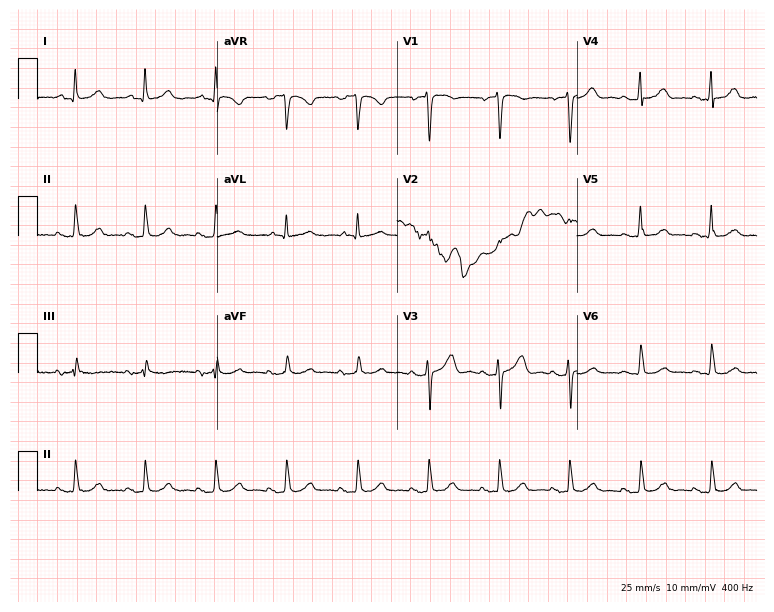
ECG — a 66-year-old man. Screened for six findings — first-degree AV block, right bundle branch block (RBBB), left bundle branch block (LBBB), sinus bradycardia, atrial fibrillation (AF), sinus tachycardia — none is recorded.